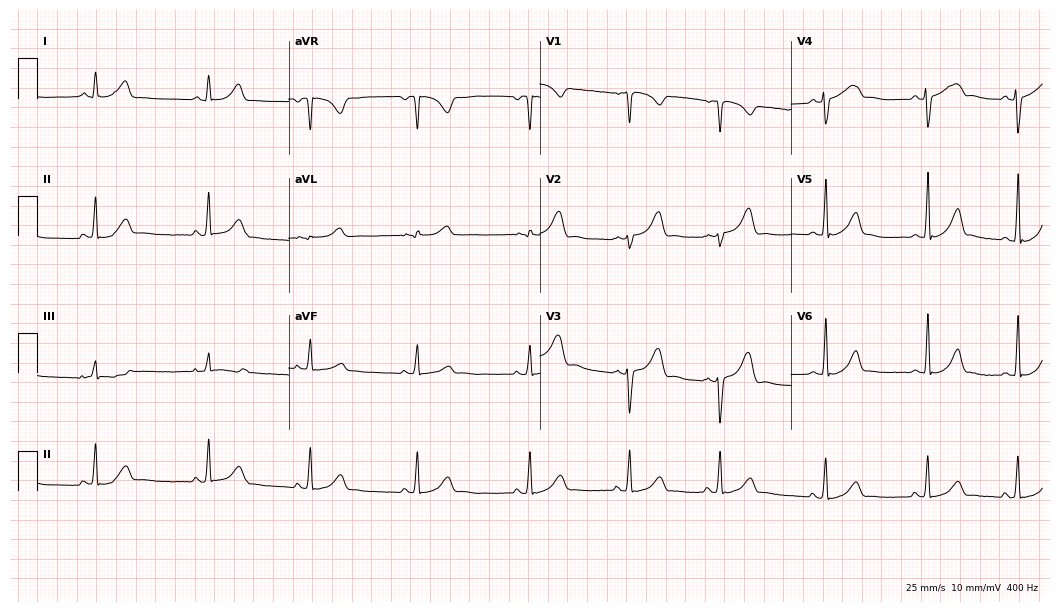
ECG — a female patient, 19 years old. Screened for six findings — first-degree AV block, right bundle branch block, left bundle branch block, sinus bradycardia, atrial fibrillation, sinus tachycardia — none is recorded.